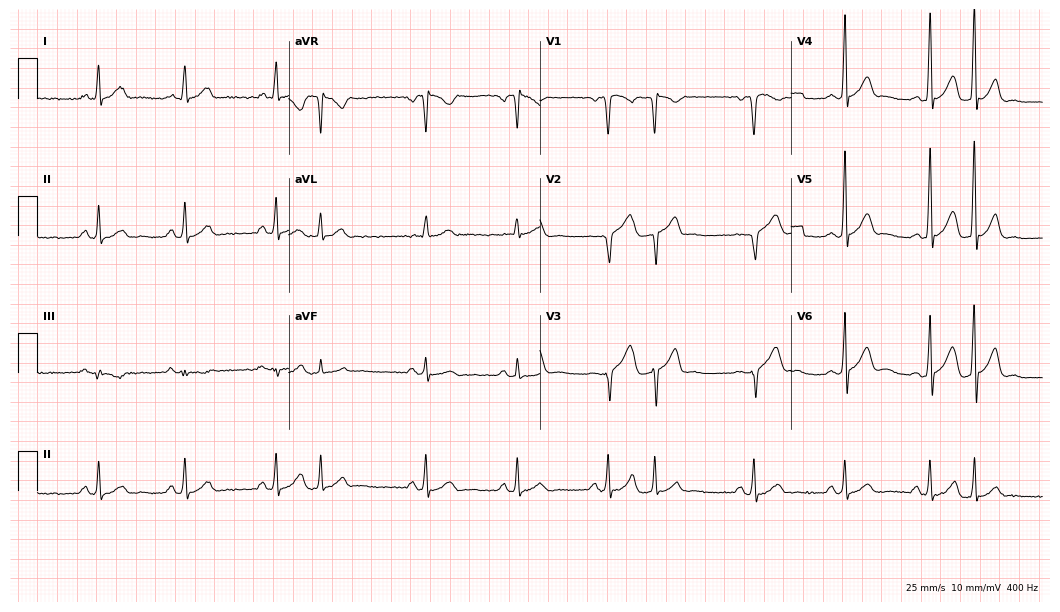
12-lead ECG (10.2-second recording at 400 Hz) from a male patient, 54 years old. Screened for six findings — first-degree AV block, right bundle branch block, left bundle branch block, sinus bradycardia, atrial fibrillation, sinus tachycardia — none is recorded. Only these six findings were labelled.